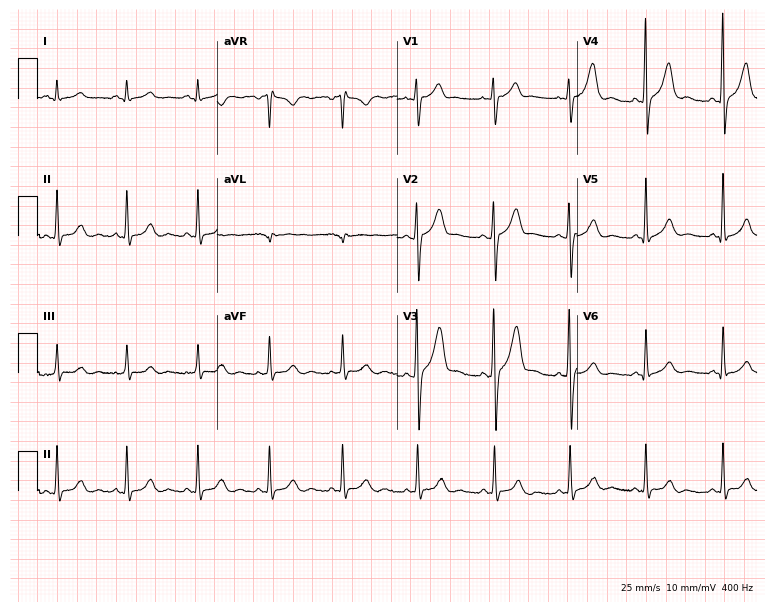
Electrocardiogram, a 34-year-old man. Of the six screened findings (first-degree AV block, right bundle branch block, left bundle branch block, sinus bradycardia, atrial fibrillation, sinus tachycardia), none is recorded.